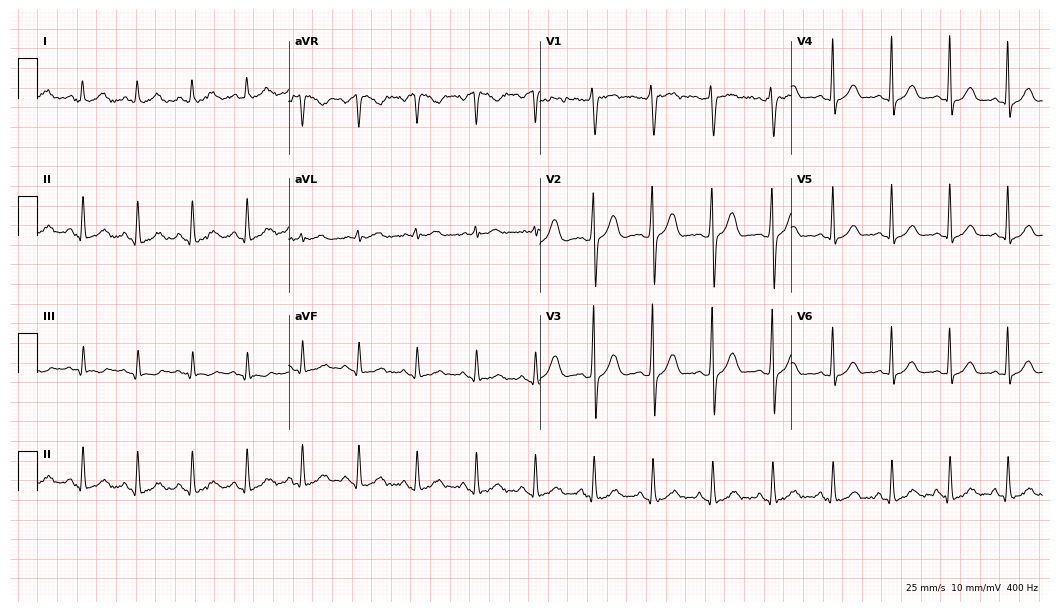
Standard 12-lead ECG recorded from a woman, 29 years old (10.2-second recording at 400 Hz). Read as a normal ECG.